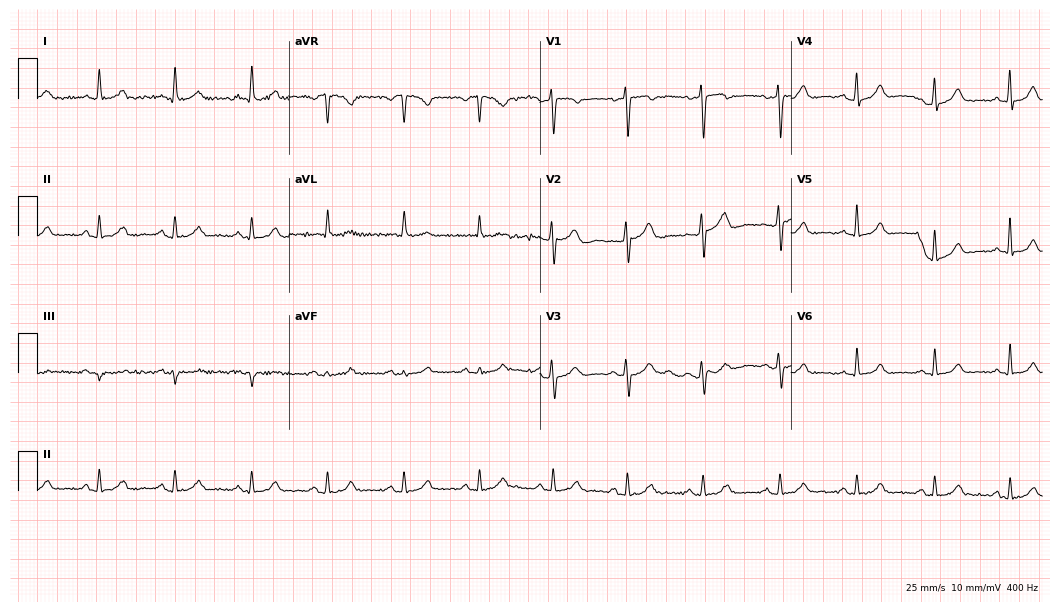
12-lead ECG from a female patient, 49 years old. Recorded interpretation: within normal limits.